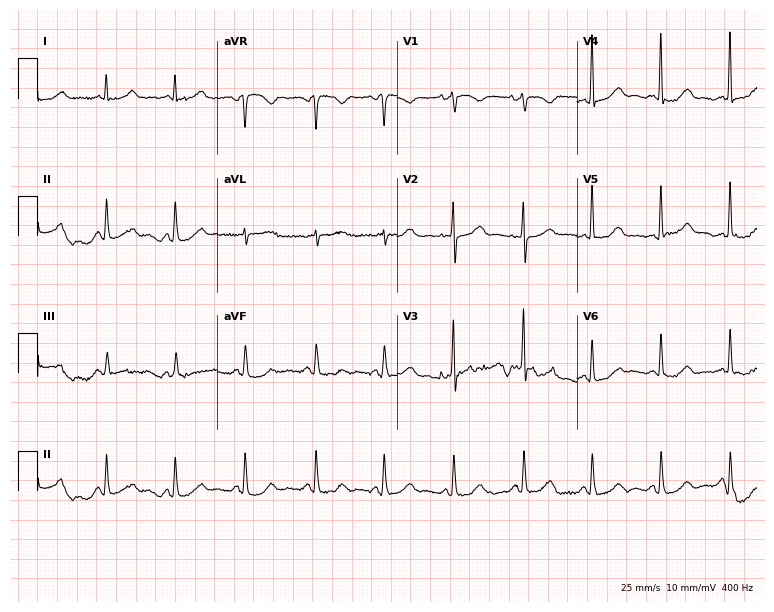
ECG (7.3-second recording at 400 Hz) — a female, 71 years old. Labelled as a normal ECG.